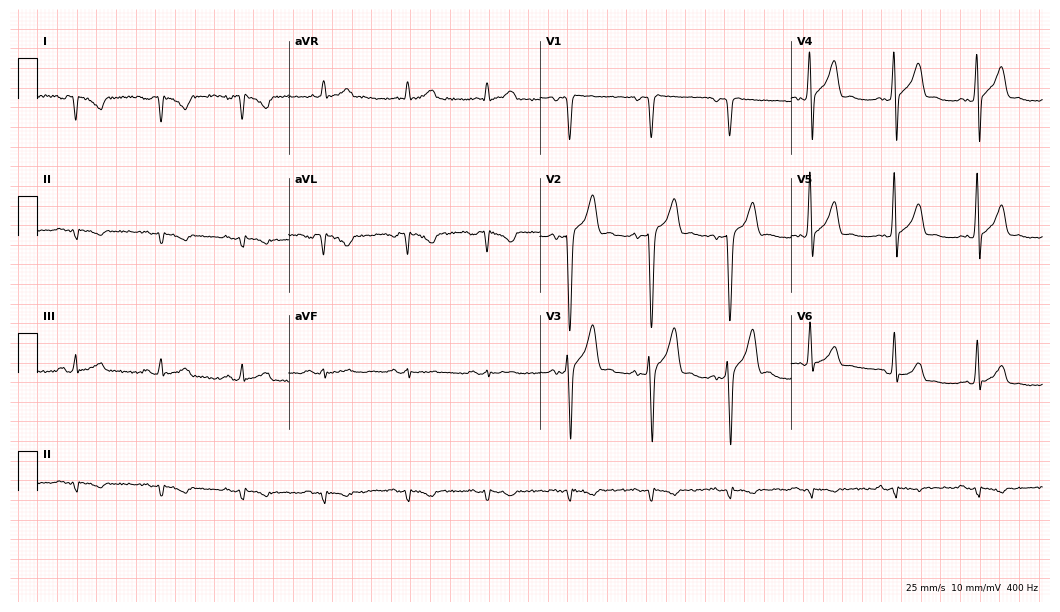
Resting 12-lead electrocardiogram (10.2-second recording at 400 Hz). Patient: a 44-year-old man. None of these six findings is recorded: first-degree AV block, right bundle branch block, left bundle branch block, sinus bradycardia, atrial fibrillation, sinus tachycardia.